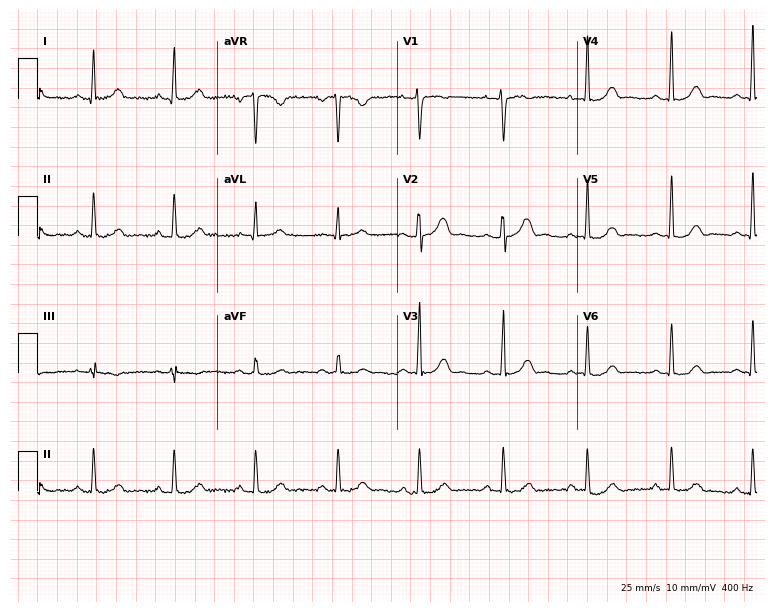
Standard 12-lead ECG recorded from a 36-year-old female patient (7.3-second recording at 400 Hz). Read as a normal ECG.